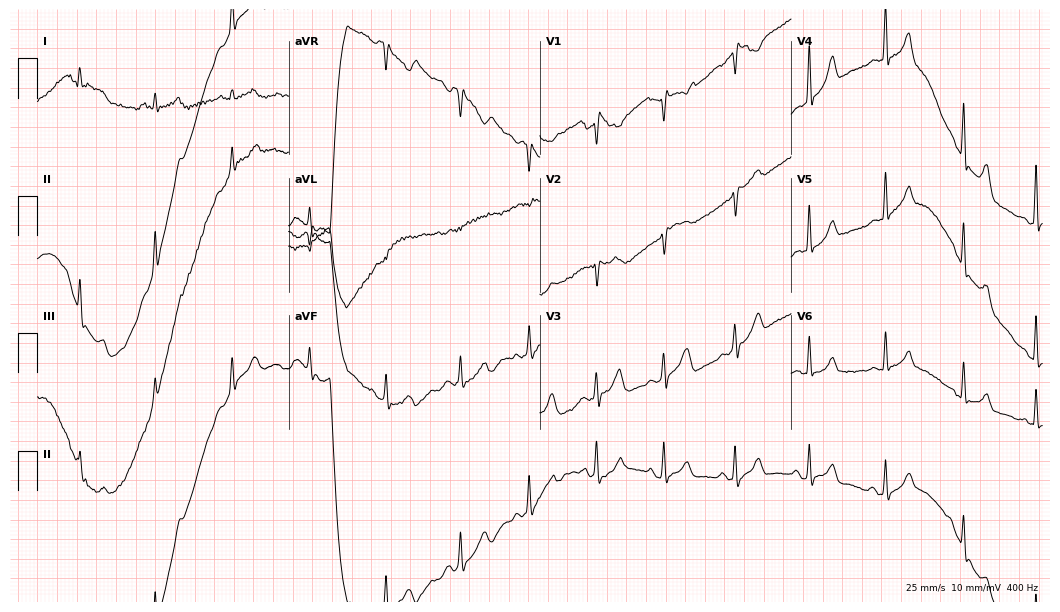
Resting 12-lead electrocardiogram (10.2-second recording at 400 Hz). Patient: a woman, 33 years old. None of these six findings is recorded: first-degree AV block, right bundle branch block, left bundle branch block, sinus bradycardia, atrial fibrillation, sinus tachycardia.